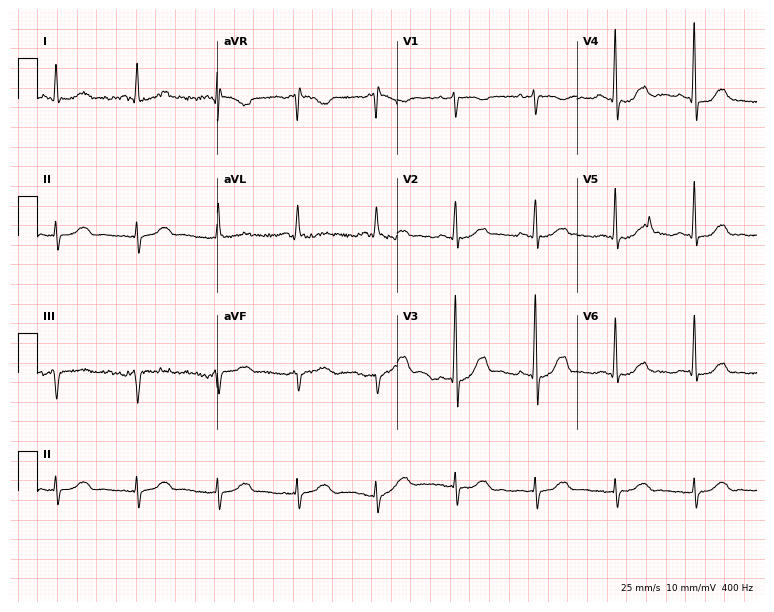
ECG — a woman, 57 years old. Screened for six findings — first-degree AV block, right bundle branch block, left bundle branch block, sinus bradycardia, atrial fibrillation, sinus tachycardia — none is recorded. Other findings, if any, are not listed.